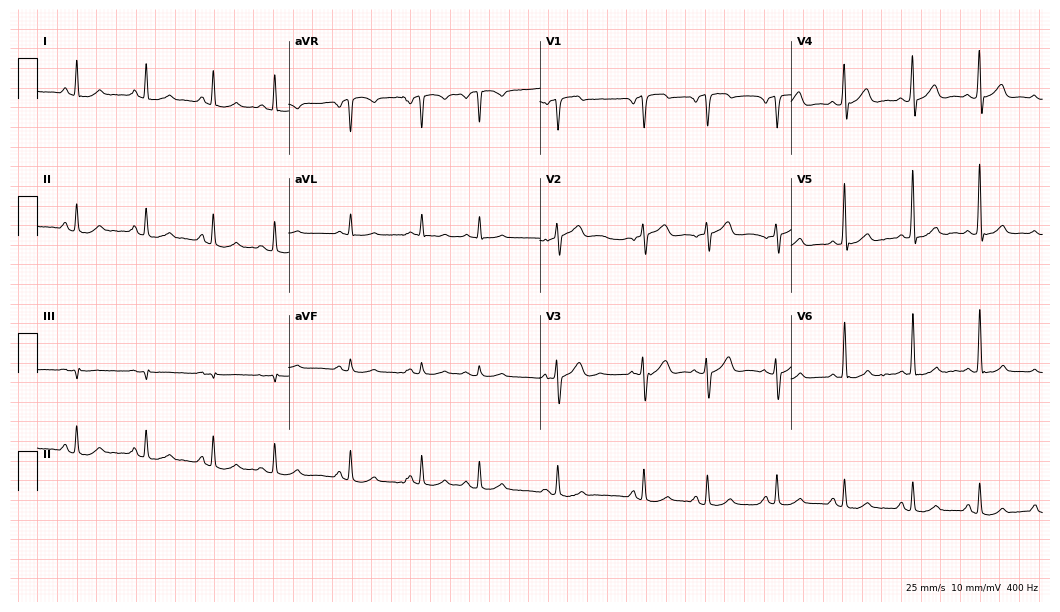
12-lead ECG (10.2-second recording at 400 Hz) from an 83-year-old man. Labelled as a normal ECG.